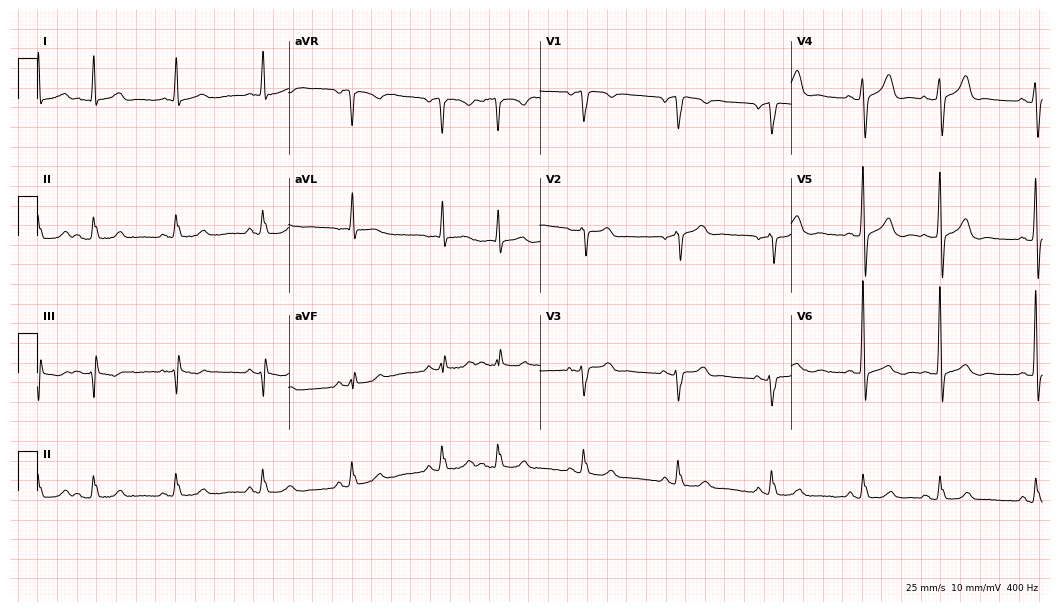
Resting 12-lead electrocardiogram. Patient: a 77-year-old male. None of these six findings is recorded: first-degree AV block, right bundle branch block, left bundle branch block, sinus bradycardia, atrial fibrillation, sinus tachycardia.